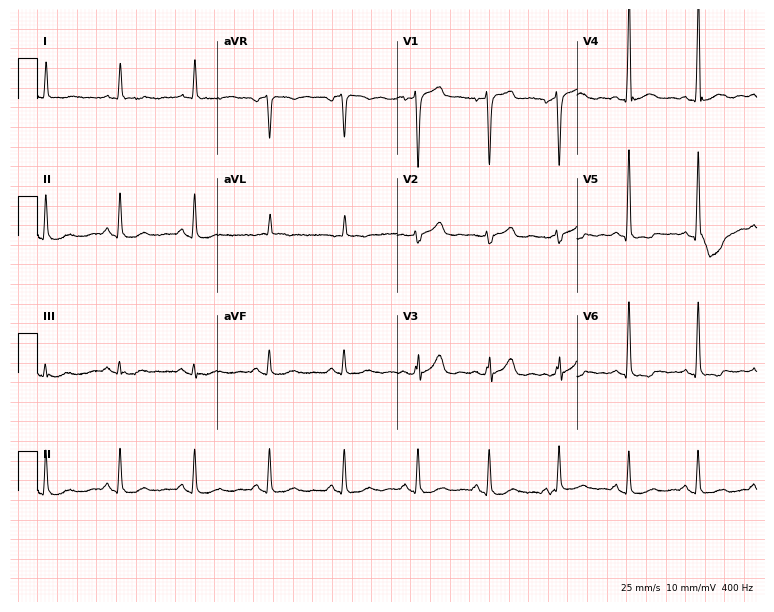
Resting 12-lead electrocardiogram (7.3-second recording at 400 Hz). Patient: a 71-year-old man. None of these six findings is recorded: first-degree AV block, right bundle branch block, left bundle branch block, sinus bradycardia, atrial fibrillation, sinus tachycardia. Other findings, if any, are not listed.